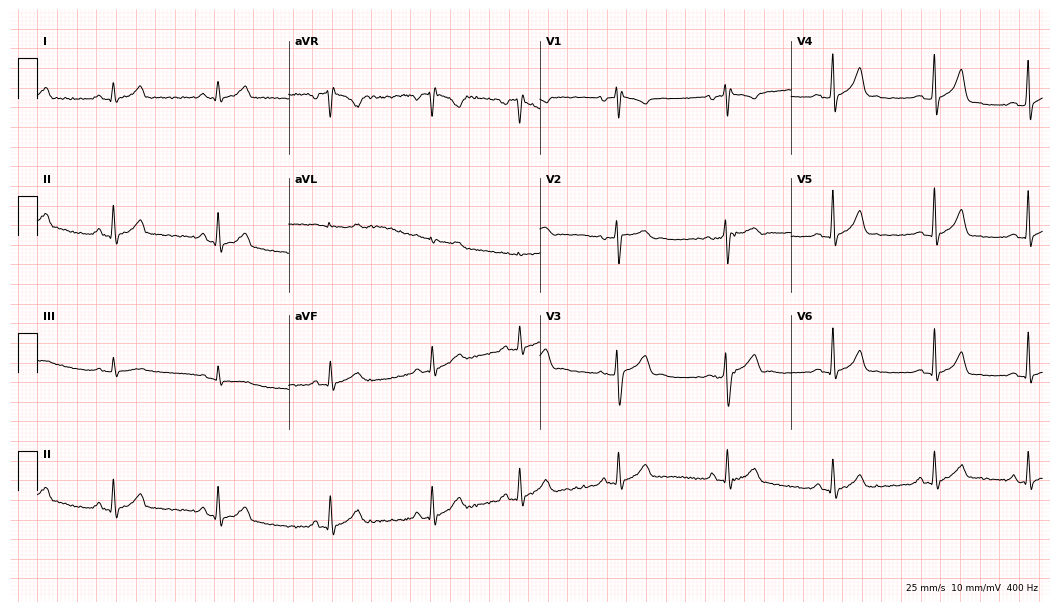
Standard 12-lead ECG recorded from a woman, 35 years old. Read as a normal ECG.